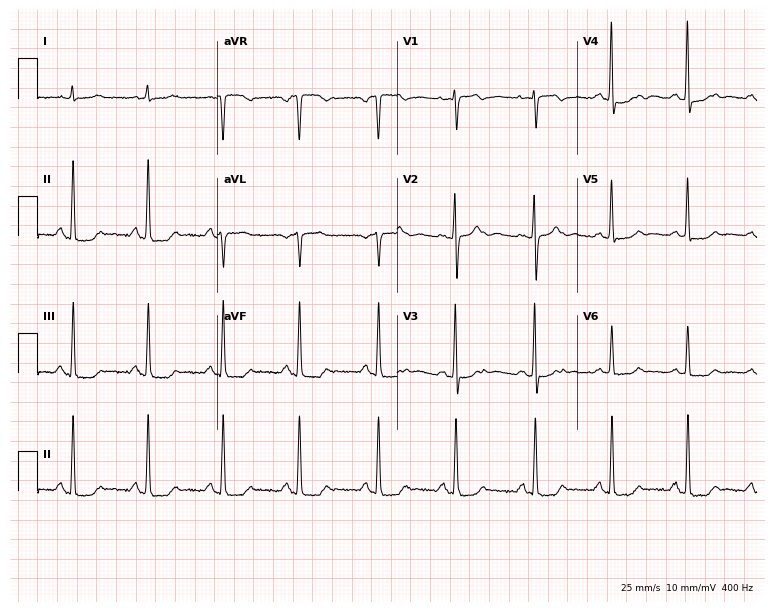
Resting 12-lead electrocardiogram (7.3-second recording at 400 Hz). Patient: a woman, 69 years old. None of these six findings is recorded: first-degree AV block, right bundle branch block, left bundle branch block, sinus bradycardia, atrial fibrillation, sinus tachycardia. Only these six findings were labelled.